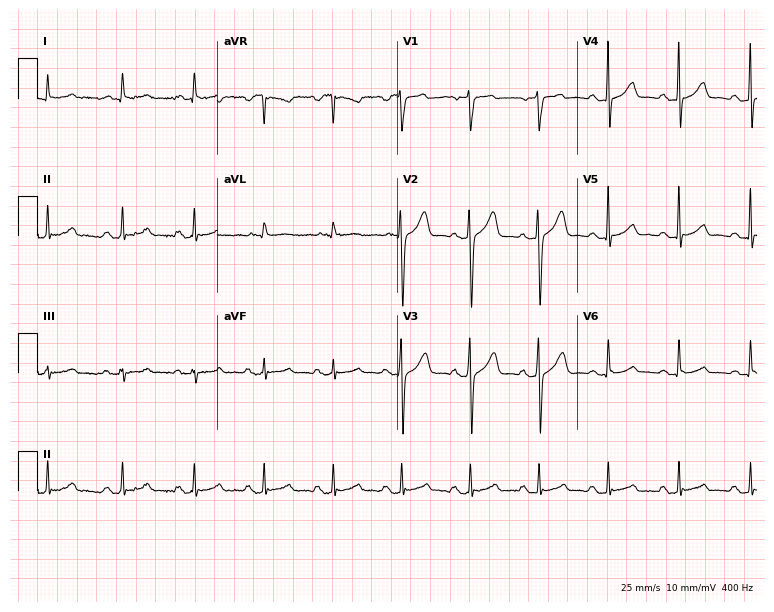
12-lead ECG from a male patient, 74 years old. Recorded interpretation: within normal limits.